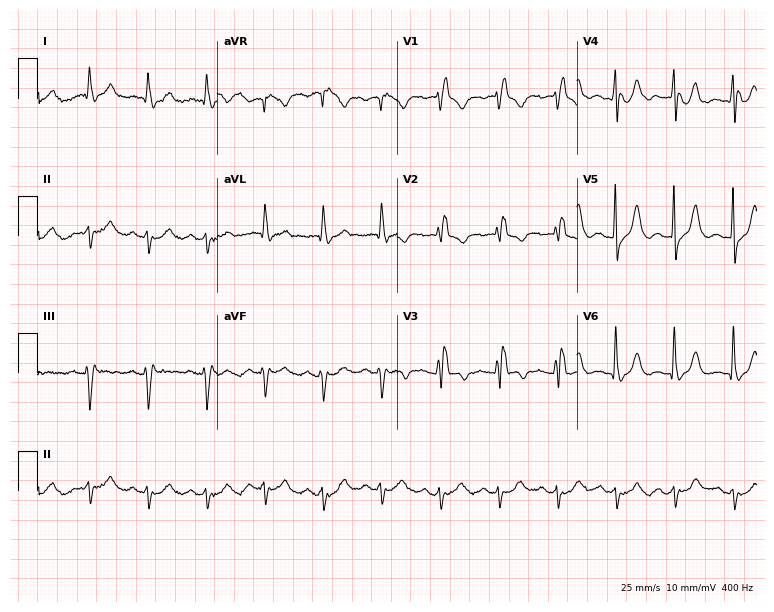
12-lead ECG from an 82-year-old female patient (7.3-second recording at 400 Hz). Shows right bundle branch block (RBBB), sinus tachycardia (a sinus rate of 100 beats per minute or more).